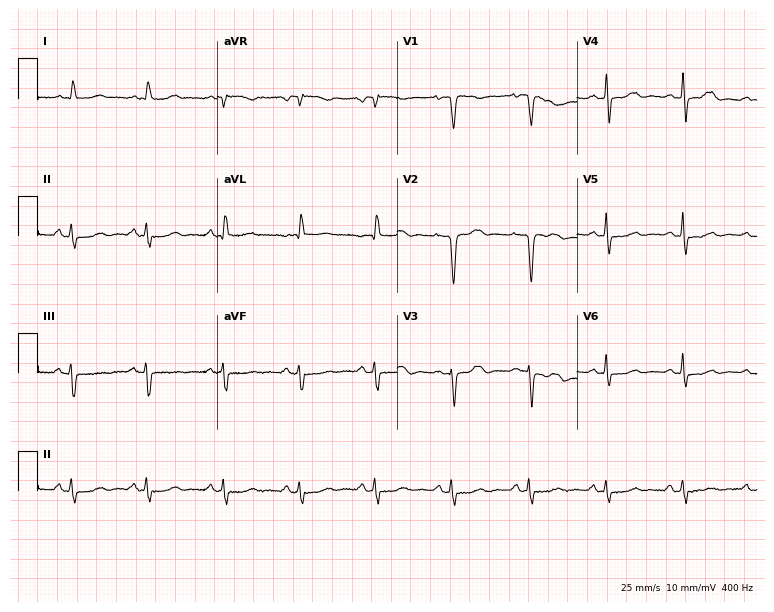
ECG (7.3-second recording at 400 Hz) — a 67-year-old female. Screened for six findings — first-degree AV block, right bundle branch block, left bundle branch block, sinus bradycardia, atrial fibrillation, sinus tachycardia — none is recorded. Other findings, if any, are not listed.